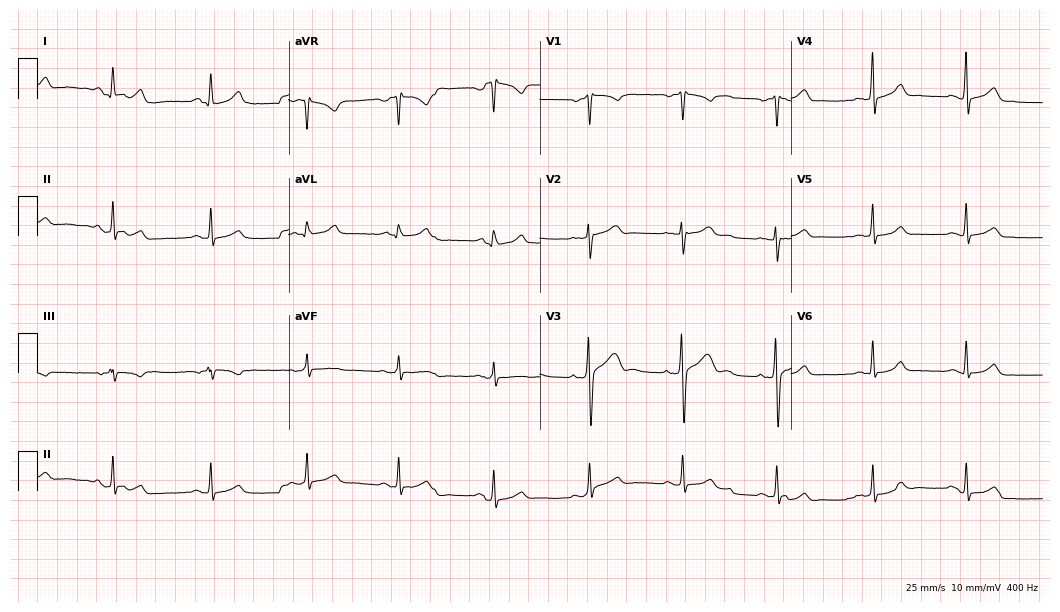
Electrocardiogram (10.2-second recording at 400 Hz), a male, 27 years old. Of the six screened findings (first-degree AV block, right bundle branch block (RBBB), left bundle branch block (LBBB), sinus bradycardia, atrial fibrillation (AF), sinus tachycardia), none is recorded.